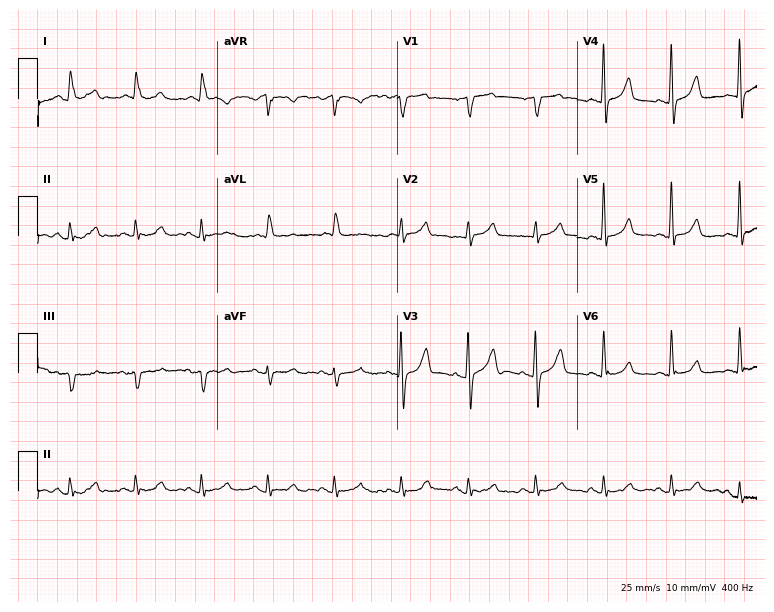
ECG (7.3-second recording at 400 Hz) — a 77-year-old male. Labelled as a normal ECG.